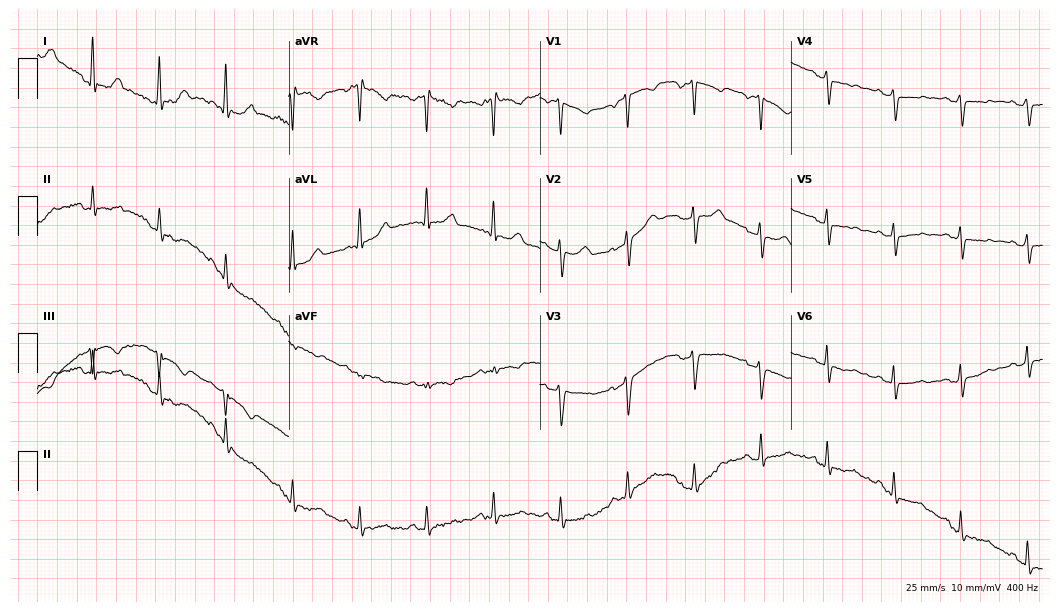
Resting 12-lead electrocardiogram (10.2-second recording at 400 Hz). Patient: a 60-year-old female. None of these six findings is recorded: first-degree AV block, right bundle branch block, left bundle branch block, sinus bradycardia, atrial fibrillation, sinus tachycardia.